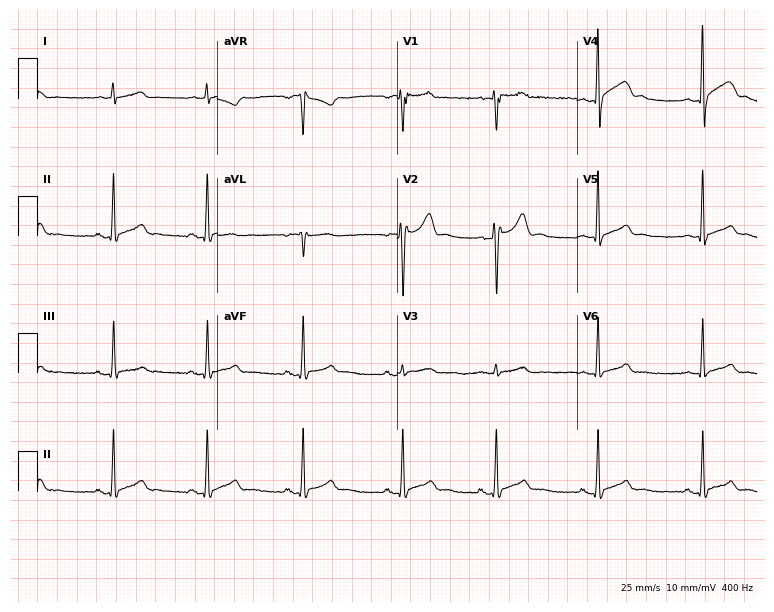
12-lead ECG (7.3-second recording at 400 Hz) from a man, 27 years old. Screened for six findings — first-degree AV block, right bundle branch block, left bundle branch block, sinus bradycardia, atrial fibrillation, sinus tachycardia — none is recorded.